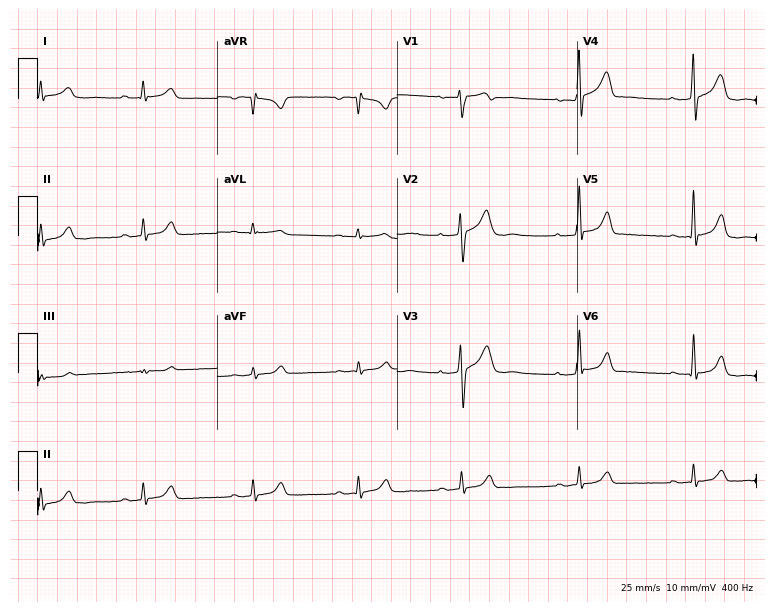
Electrocardiogram (7.3-second recording at 400 Hz), a man, 43 years old. Of the six screened findings (first-degree AV block, right bundle branch block, left bundle branch block, sinus bradycardia, atrial fibrillation, sinus tachycardia), none is recorded. Other findings, if any, are not listed.